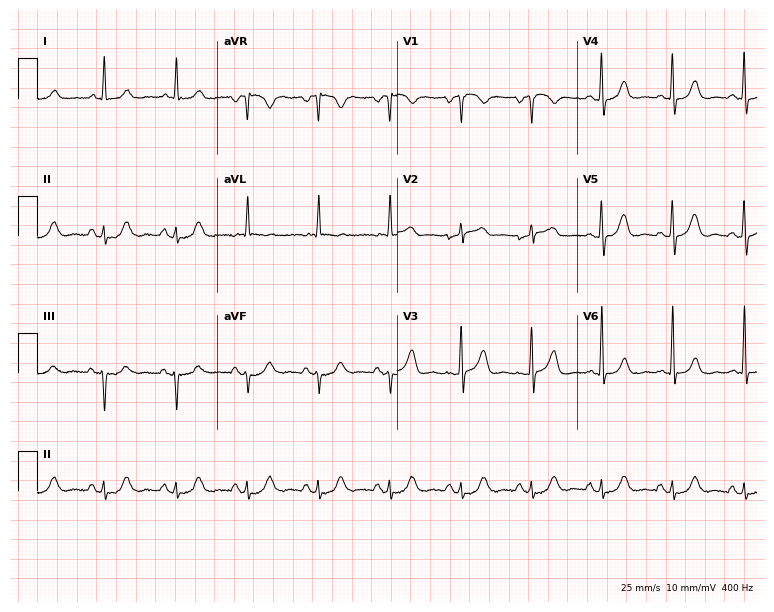
12-lead ECG from a 63-year-old female. Labelled as a normal ECG.